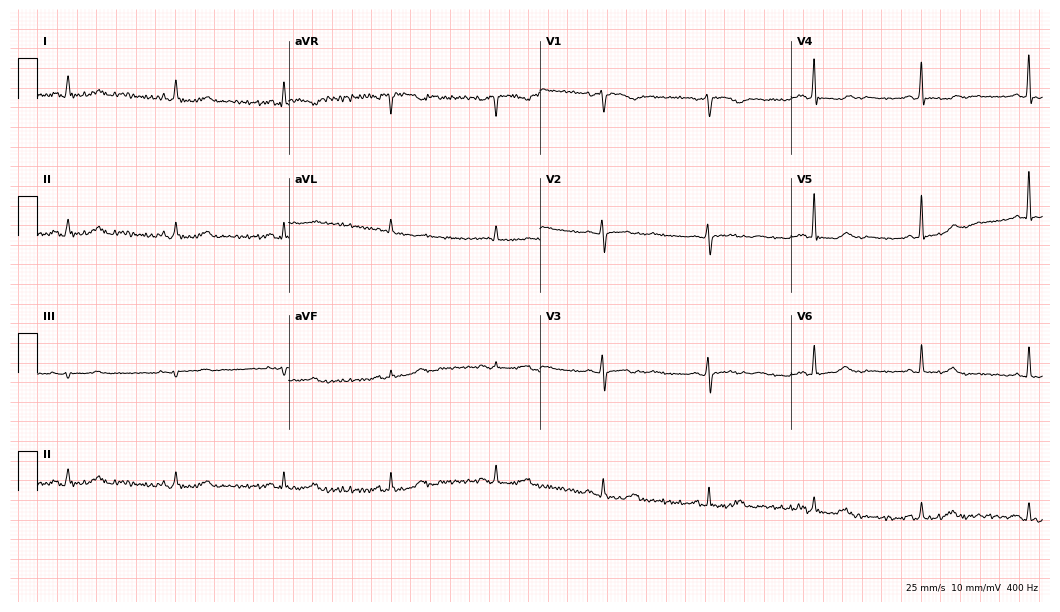
12-lead ECG from a female patient, 71 years old. Recorded interpretation: within normal limits.